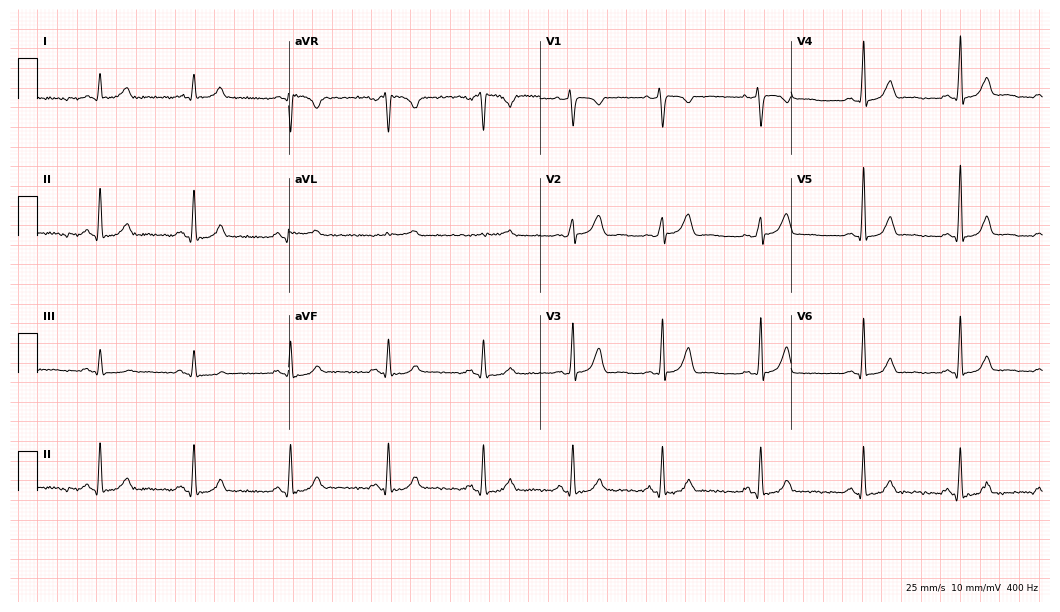
Resting 12-lead electrocardiogram (10.2-second recording at 400 Hz). Patient: a woman, 42 years old. None of these six findings is recorded: first-degree AV block, right bundle branch block, left bundle branch block, sinus bradycardia, atrial fibrillation, sinus tachycardia. Other findings, if any, are not listed.